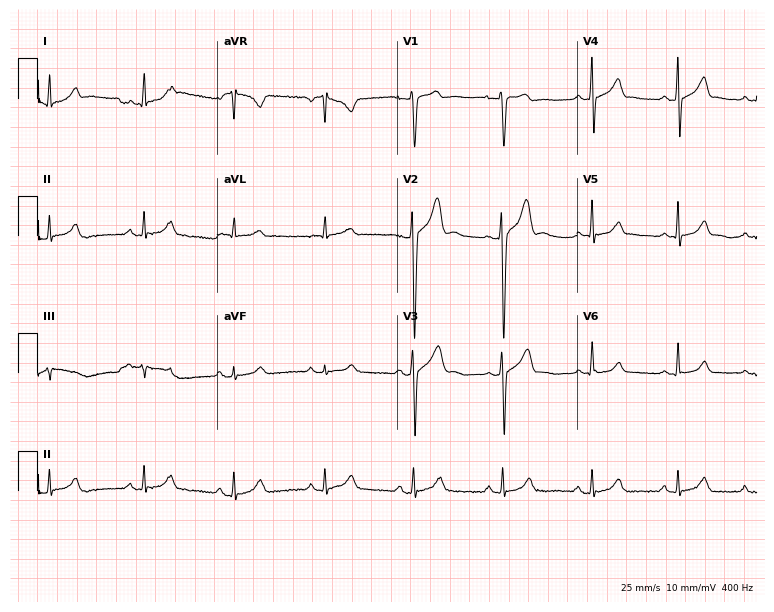
12-lead ECG (7.3-second recording at 400 Hz) from a male, 19 years old. Labelled as a normal ECG.